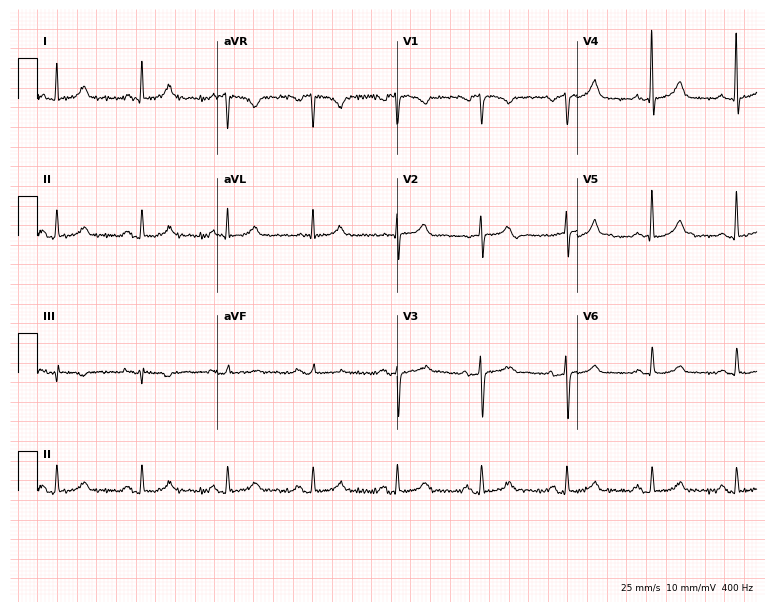
ECG — a female, 57 years old. Labelled as a normal ECG.